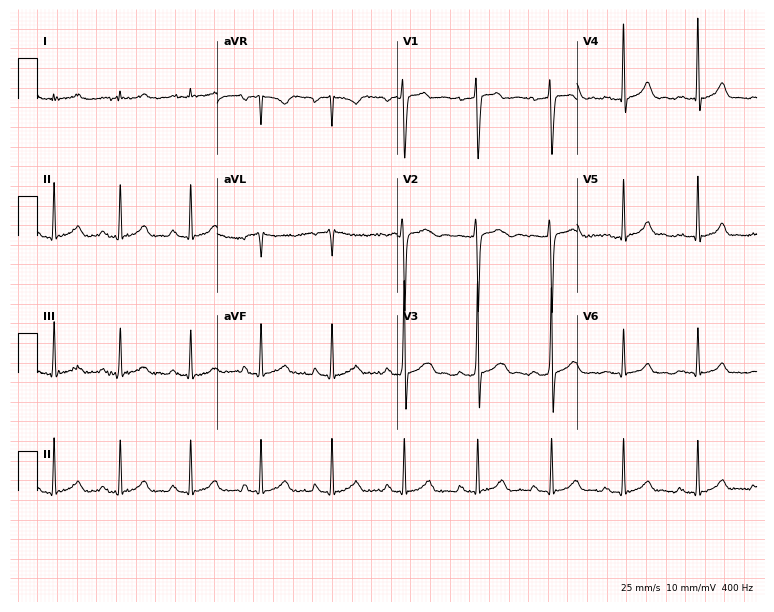
Electrocardiogram, a 19-year-old male. Overall reading on record: normal ECG.